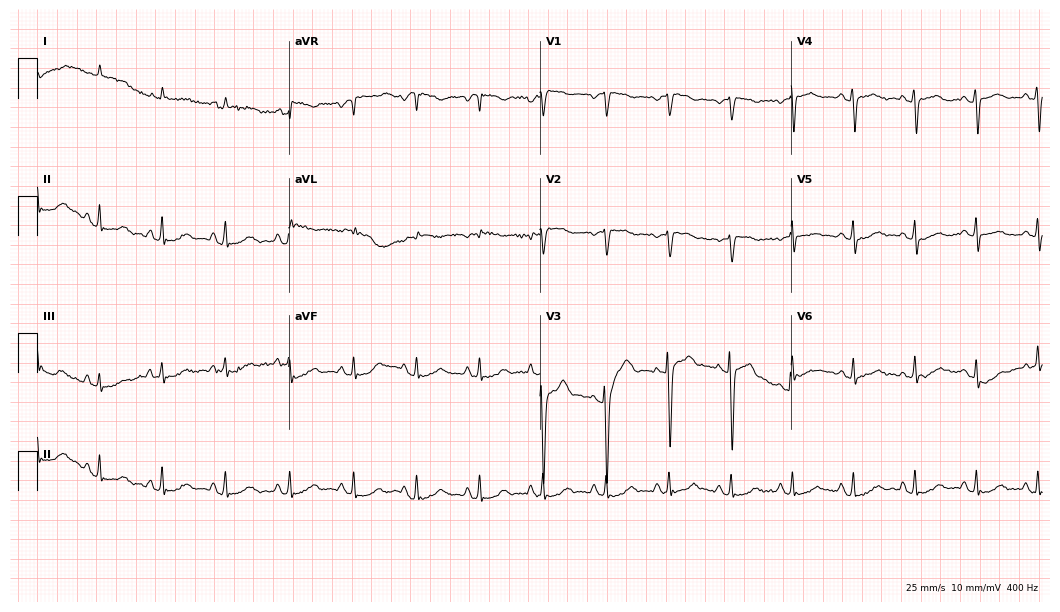
ECG (10.2-second recording at 400 Hz) — a woman, 85 years old. Screened for six findings — first-degree AV block, right bundle branch block, left bundle branch block, sinus bradycardia, atrial fibrillation, sinus tachycardia — none is recorded. Other findings, if any, are not listed.